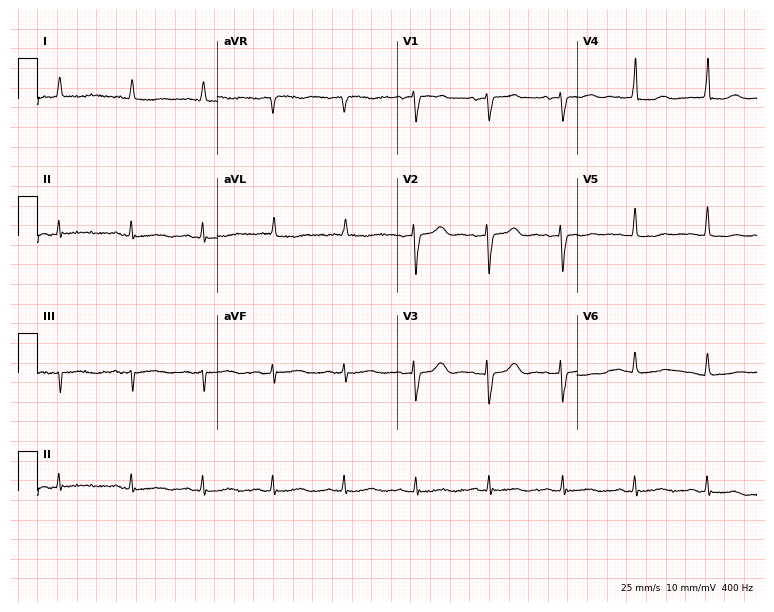
12-lead ECG from a 68-year-old male. No first-degree AV block, right bundle branch block, left bundle branch block, sinus bradycardia, atrial fibrillation or sinus tachycardia recorded for this tracing.